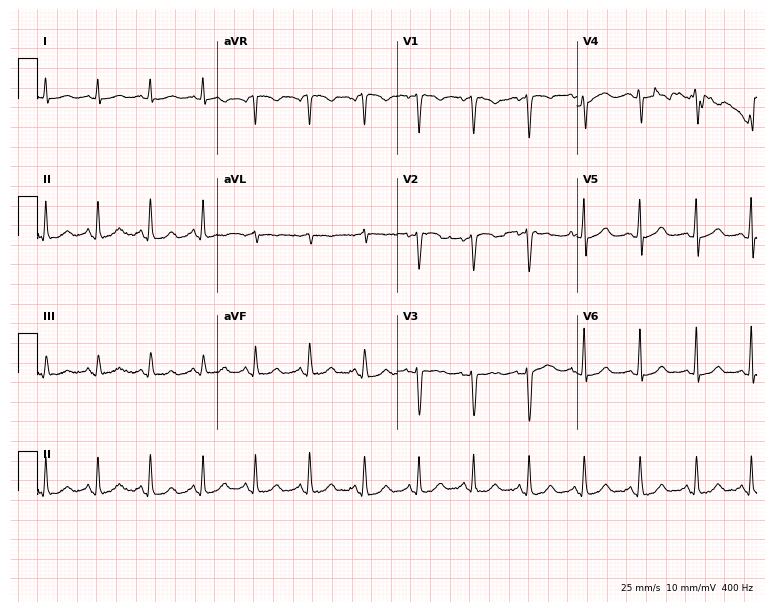
Resting 12-lead electrocardiogram (7.3-second recording at 400 Hz). Patient: a female, 20 years old. The tracing shows sinus tachycardia (a sinus rate of 100 beats per minute or more).